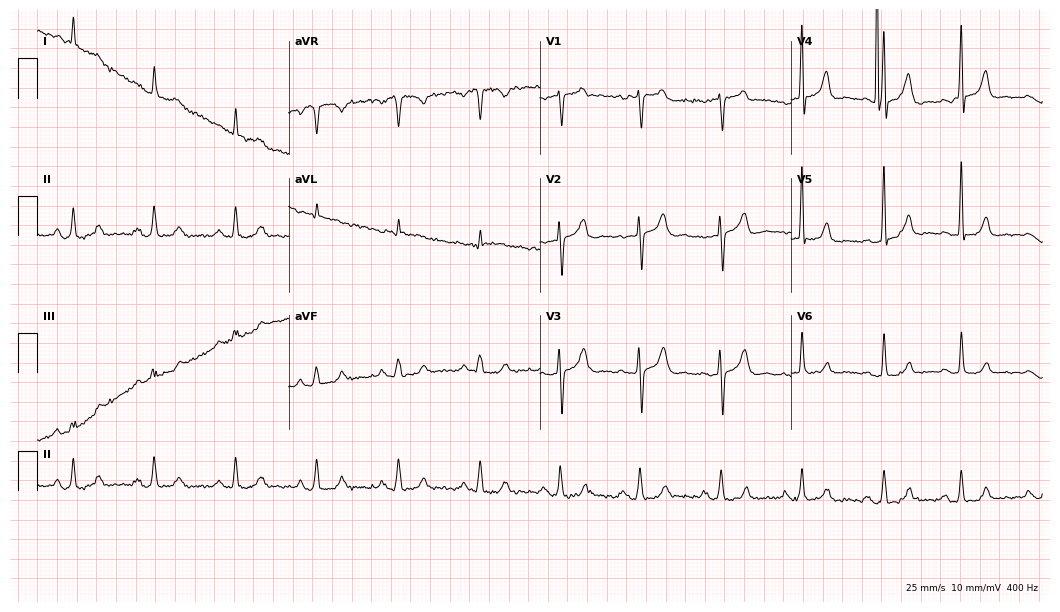
Standard 12-lead ECG recorded from a man, 82 years old. None of these six findings is recorded: first-degree AV block, right bundle branch block, left bundle branch block, sinus bradycardia, atrial fibrillation, sinus tachycardia. Only these six findings were labelled.